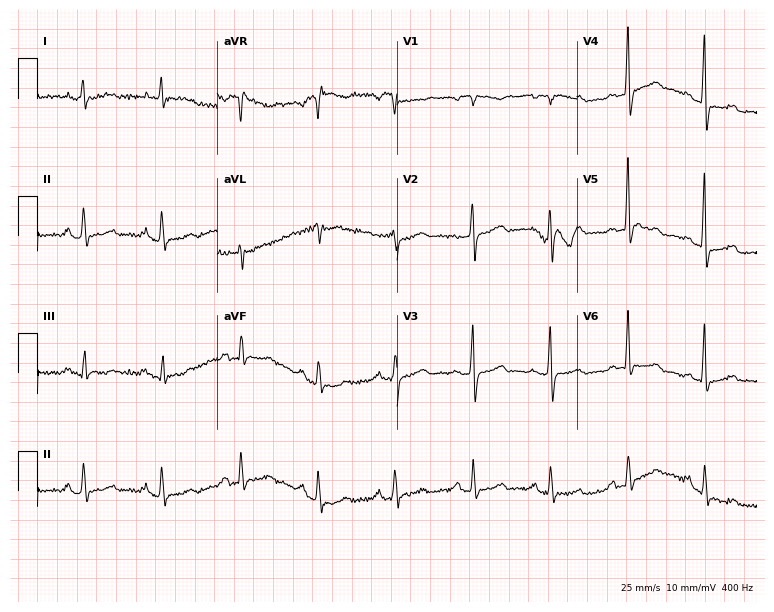
Resting 12-lead electrocardiogram (7.3-second recording at 400 Hz). Patient: a 51-year-old female. Read as a normal ECG.